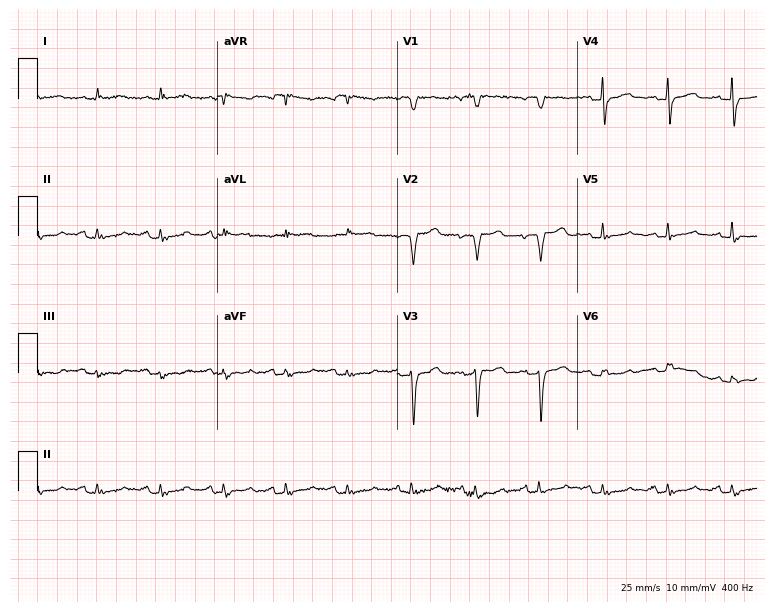
12-lead ECG from a 74-year-old woman. No first-degree AV block, right bundle branch block, left bundle branch block, sinus bradycardia, atrial fibrillation or sinus tachycardia recorded for this tracing.